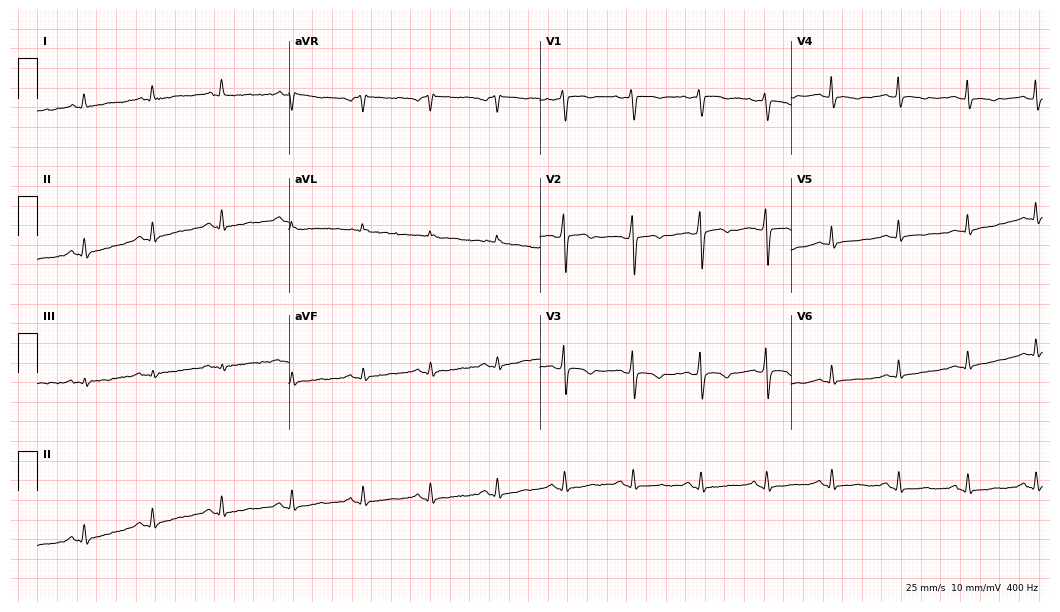
ECG — a 37-year-old woman. Screened for six findings — first-degree AV block, right bundle branch block, left bundle branch block, sinus bradycardia, atrial fibrillation, sinus tachycardia — none is recorded. Other findings, if any, are not listed.